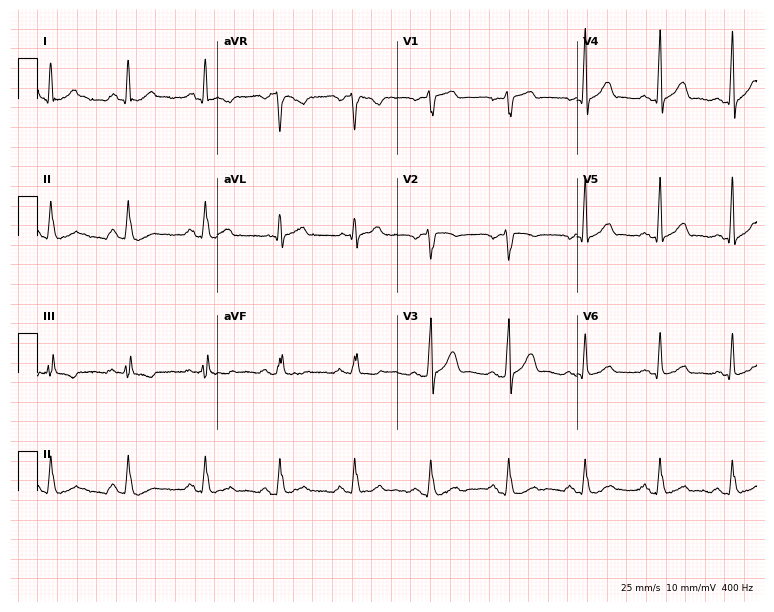
Resting 12-lead electrocardiogram. Patient: a male, 33 years old. Read as a normal ECG.